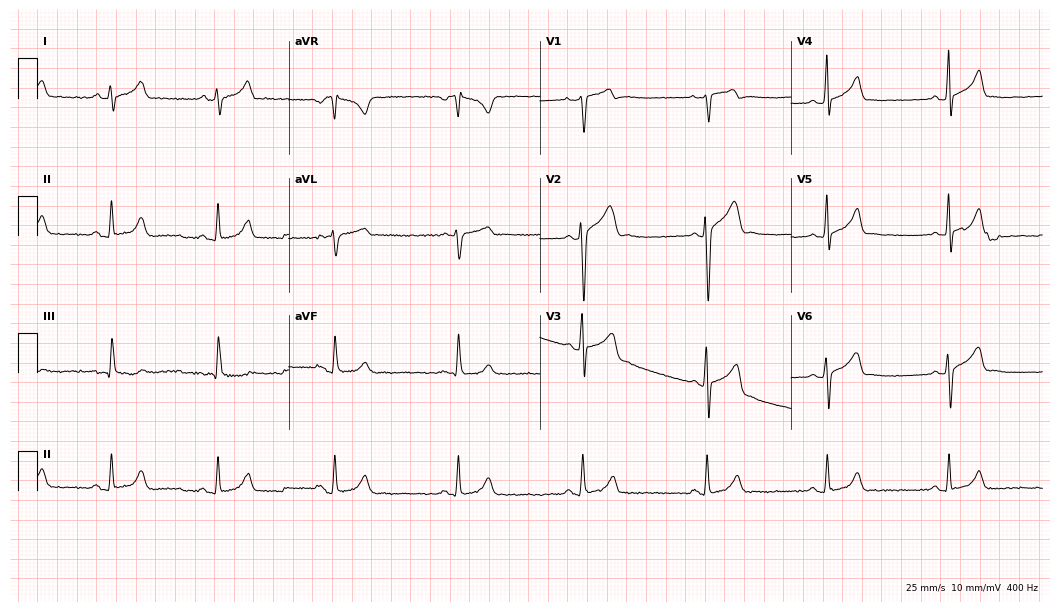
12-lead ECG from a male, 24 years old. Shows sinus bradycardia (a sinus rate of 50 beats per minute or less).